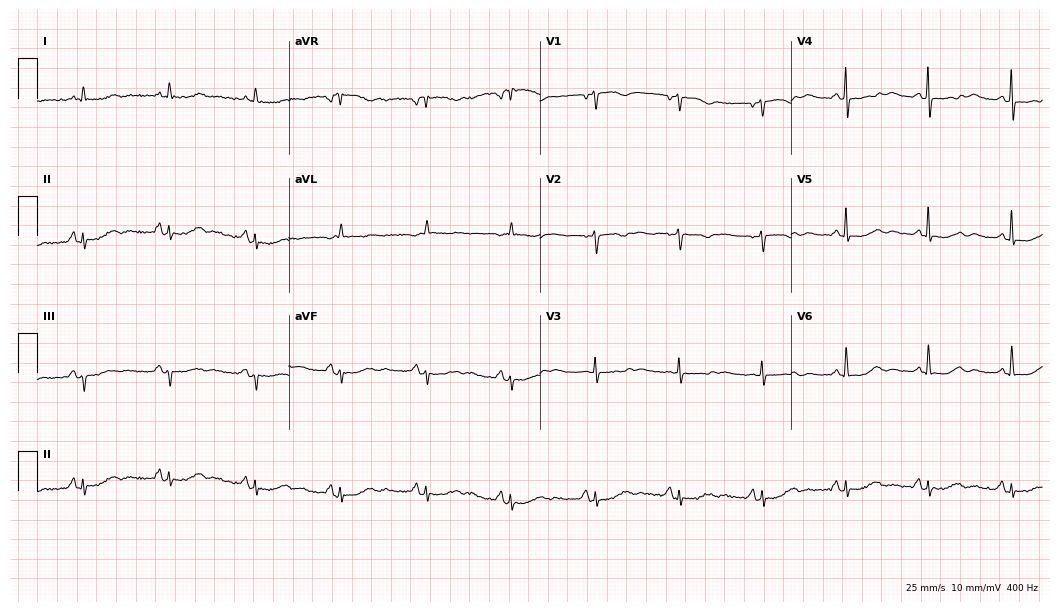
12-lead ECG from a female, 76 years old (10.2-second recording at 400 Hz). No first-degree AV block, right bundle branch block, left bundle branch block, sinus bradycardia, atrial fibrillation or sinus tachycardia recorded for this tracing. Other findings, if any, are not listed.